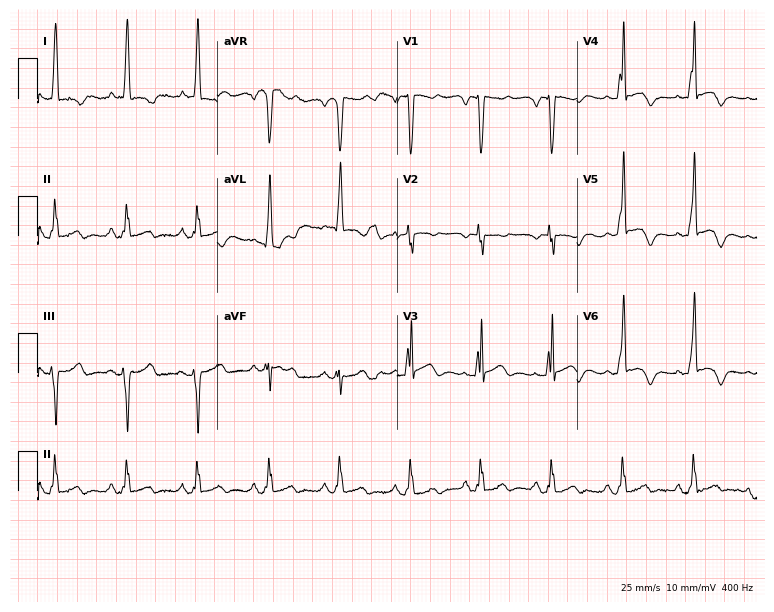
Resting 12-lead electrocardiogram (7.3-second recording at 400 Hz). Patient: a 75-year-old female. None of these six findings is recorded: first-degree AV block, right bundle branch block, left bundle branch block, sinus bradycardia, atrial fibrillation, sinus tachycardia. Findings outside these six are not listed.